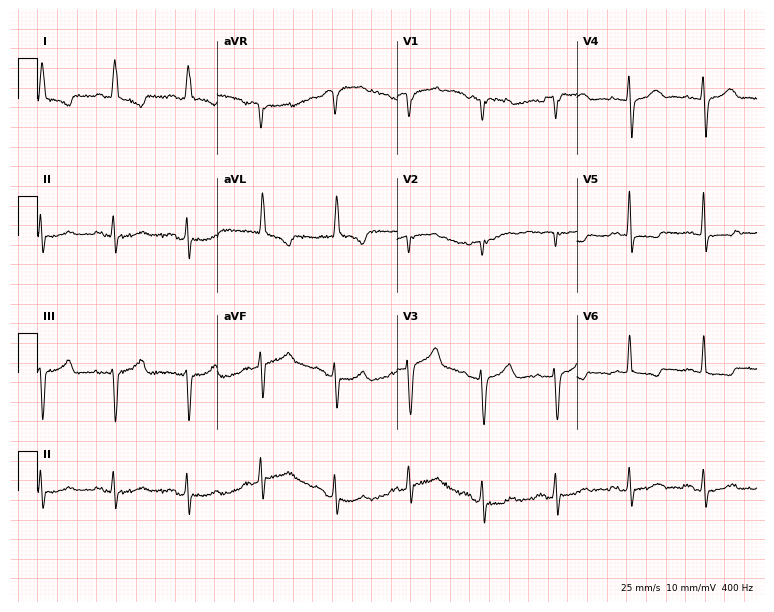
Standard 12-lead ECG recorded from a 46-year-old woman. None of these six findings is recorded: first-degree AV block, right bundle branch block (RBBB), left bundle branch block (LBBB), sinus bradycardia, atrial fibrillation (AF), sinus tachycardia.